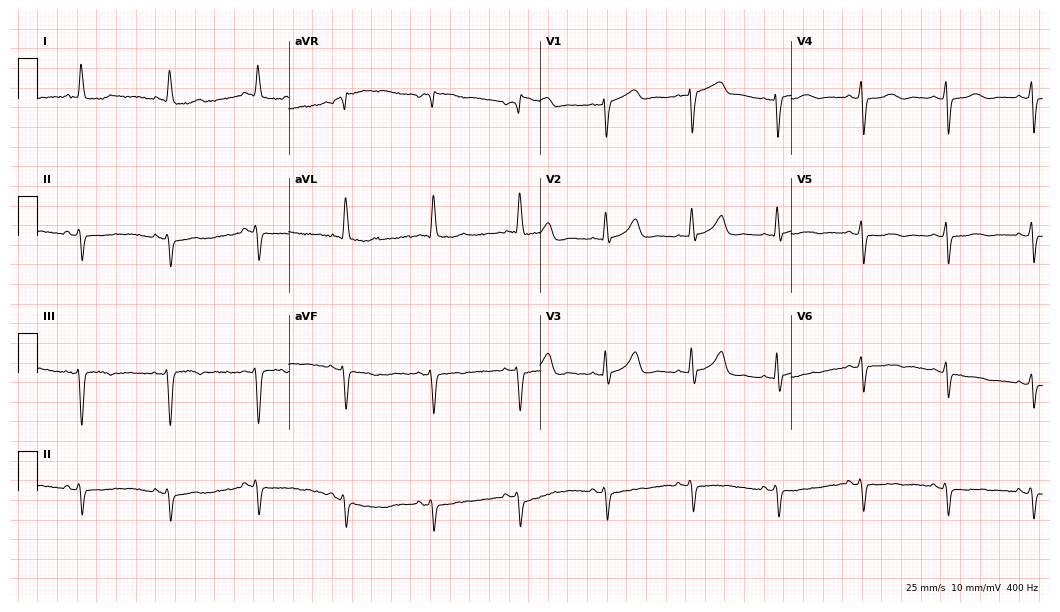
Electrocardiogram (10.2-second recording at 400 Hz), an 81-year-old woman. Of the six screened findings (first-degree AV block, right bundle branch block (RBBB), left bundle branch block (LBBB), sinus bradycardia, atrial fibrillation (AF), sinus tachycardia), none is recorded.